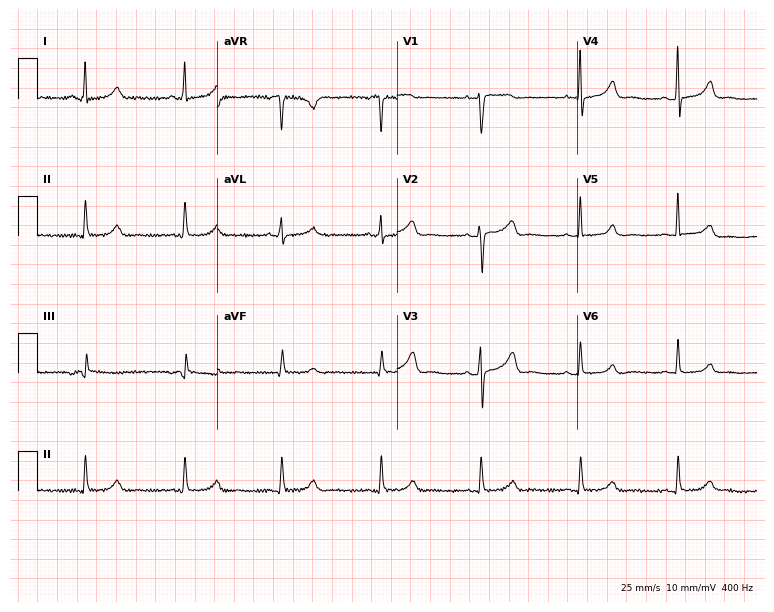
Electrocardiogram (7.3-second recording at 400 Hz), a woman, 56 years old. Overall reading on record: normal ECG.